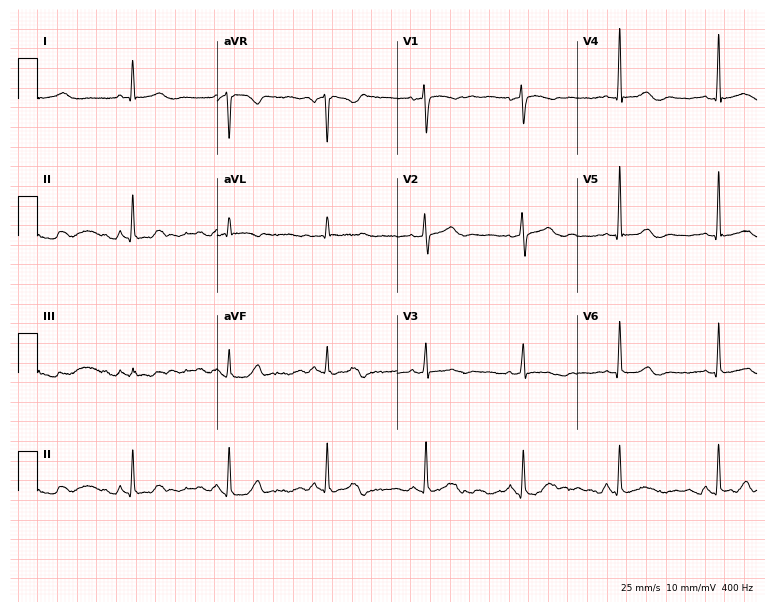
ECG — a 63-year-old female patient. Labelled as a normal ECG.